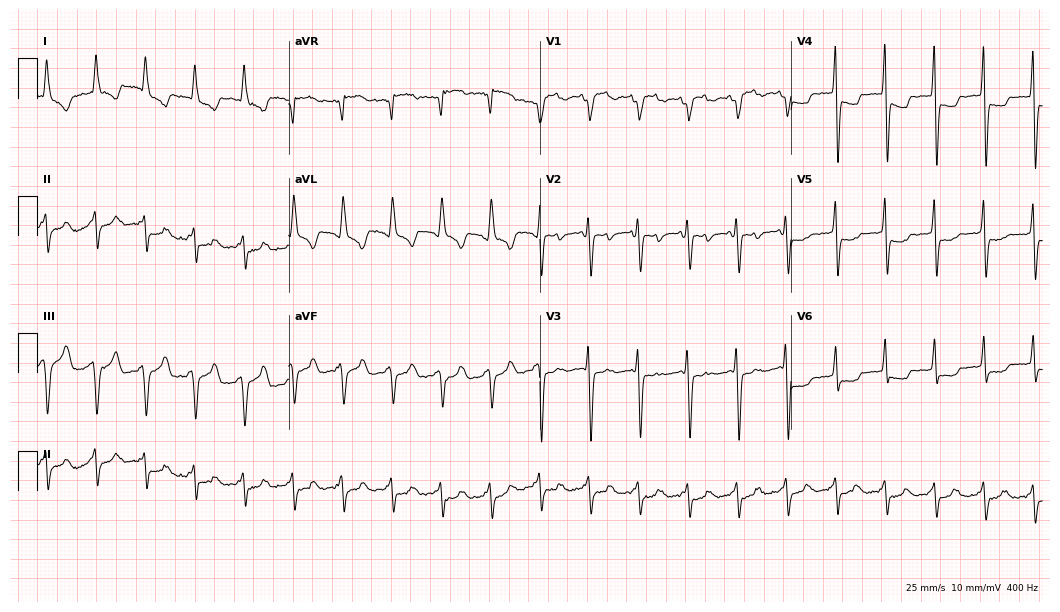
Electrocardiogram (10.2-second recording at 400 Hz), a 76-year-old woman. Of the six screened findings (first-degree AV block, right bundle branch block, left bundle branch block, sinus bradycardia, atrial fibrillation, sinus tachycardia), none is recorded.